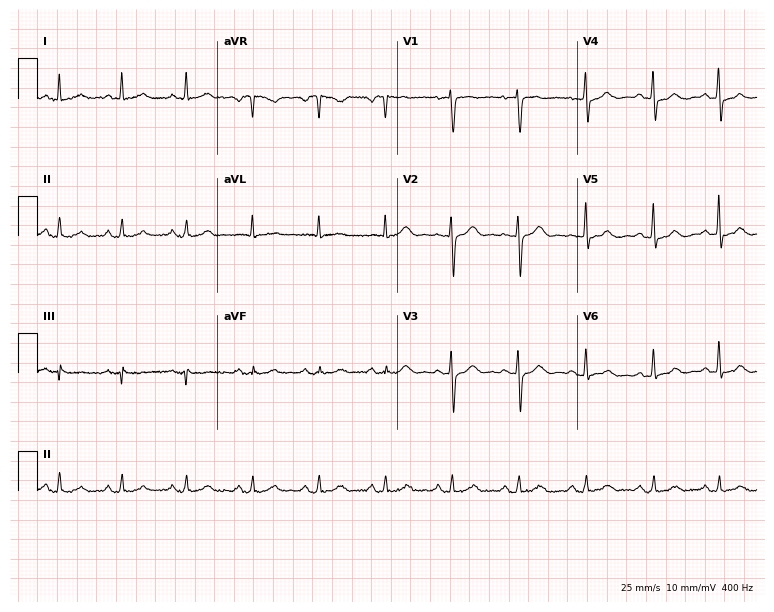
ECG — a woman, 61 years old. Screened for six findings — first-degree AV block, right bundle branch block, left bundle branch block, sinus bradycardia, atrial fibrillation, sinus tachycardia — none is recorded.